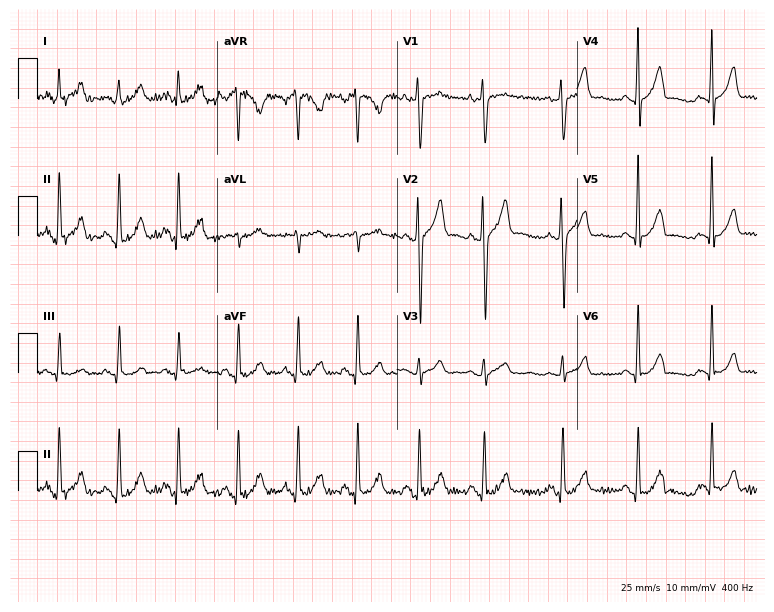
Resting 12-lead electrocardiogram. Patient: a male, 27 years old. None of these six findings is recorded: first-degree AV block, right bundle branch block, left bundle branch block, sinus bradycardia, atrial fibrillation, sinus tachycardia.